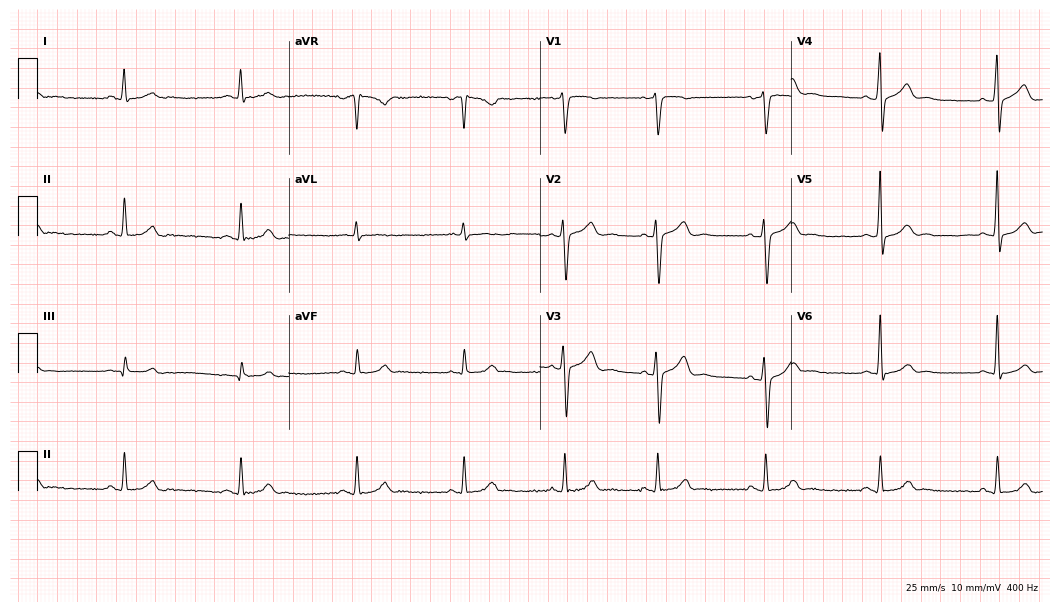
Standard 12-lead ECG recorded from a 41-year-old male patient. None of these six findings is recorded: first-degree AV block, right bundle branch block, left bundle branch block, sinus bradycardia, atrial fibrillation, sinus tachycardia. Only these six findings were labelled.